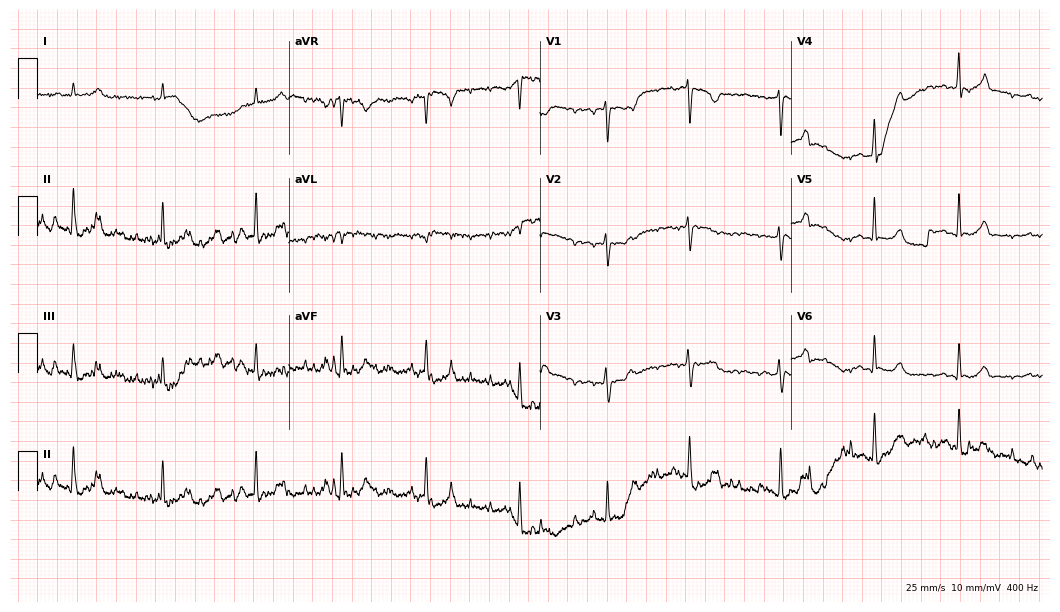
12-lead ECG (10.2-second recording at 400 Hz) from a female patient, 19 years old. Labelled as a normal ECG.